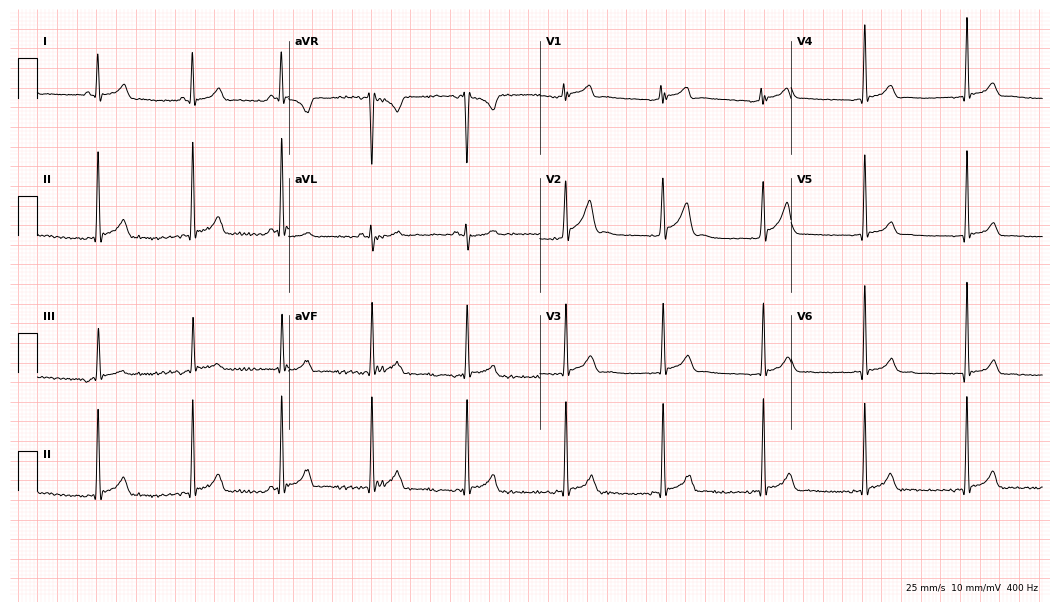
Resting 12-lead electrocardiogram. Patient: a man, 19 years old. Read as a normal ECG.